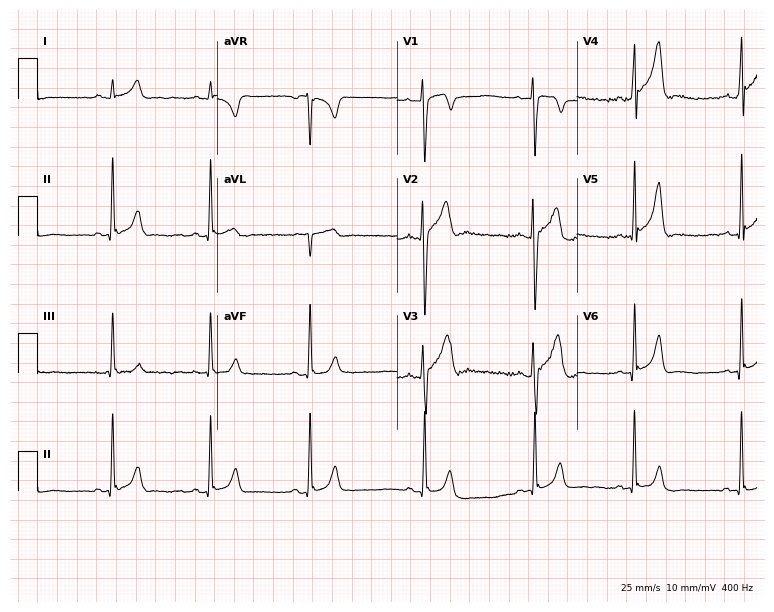
Electrocardiogram, a 20-year-old male. Of the six screened findings (first-degree AV block, right bundle branch block, left bundle branch block, sinus bradycardia, atrial fibrillation, sinus tachycardia), none is recorded.